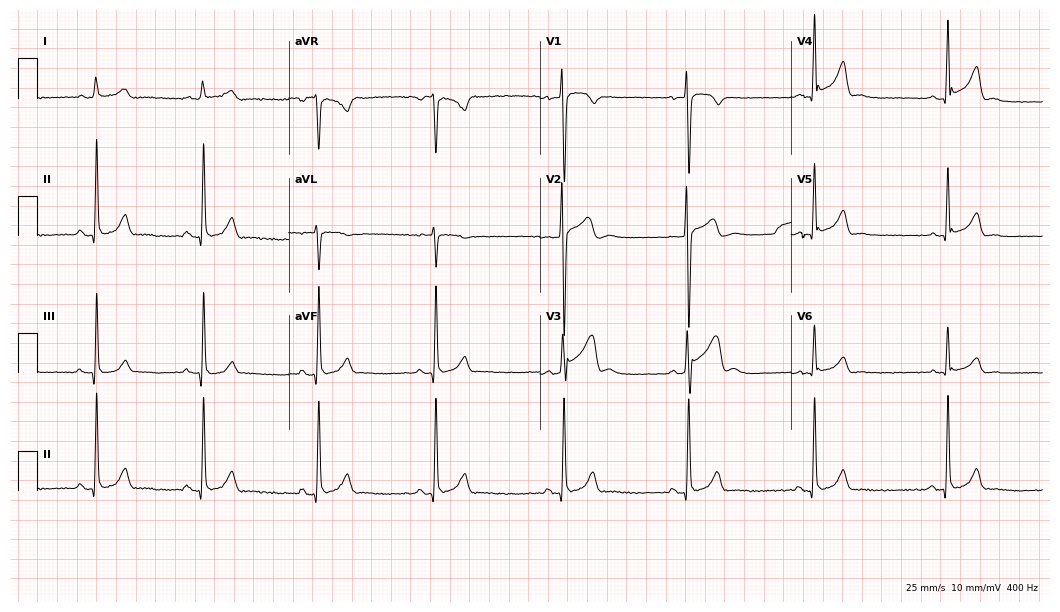
Electrocardiogram (10.2-second recording at 400 Hz), a male, 19 years old. Of the six screened findings (first-degree AV block, right bundle branch block, left bundle branch block, sinus bradycardia, atrial fibrillation, sinus tachycardia), none is recorded. Only these six findings were labelled.